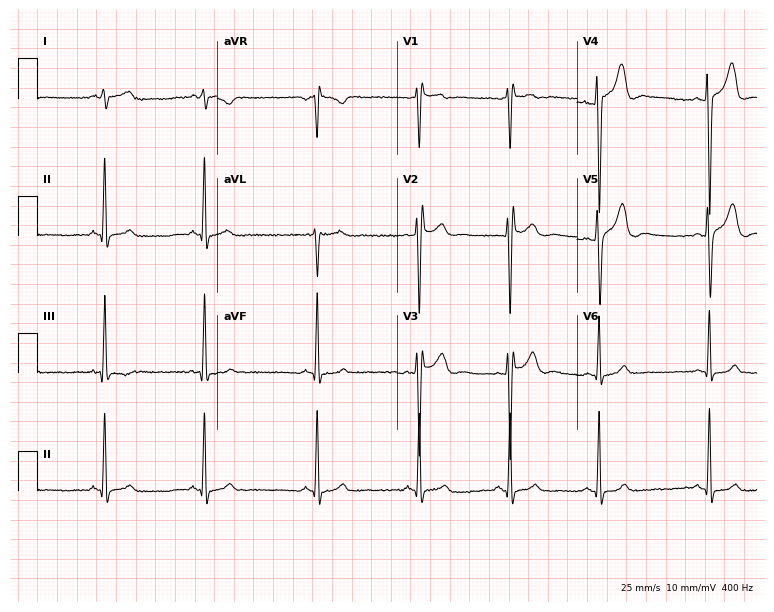
Standard 12-lead ECG recorded from a male patient, 19 years old. None of these six findings is recorded: first-degree AV block, right bundle branch block, left bundle branch block, sinus bradycardia, atrial fibrillation, sinus tachycardia. Other findings, if any, are not listed.